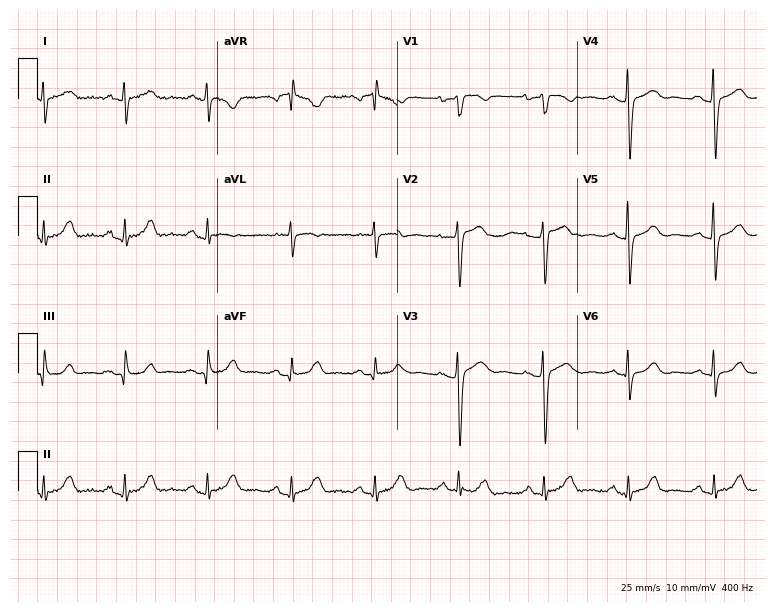
12-lead ECG from a woman, 67 years old. Screened for six findings — first-degree AV block, right bundle branch block, left bundle branch block, sinus bradycardia, atrial fibrillation, sinus tachycardia — none is recorded.